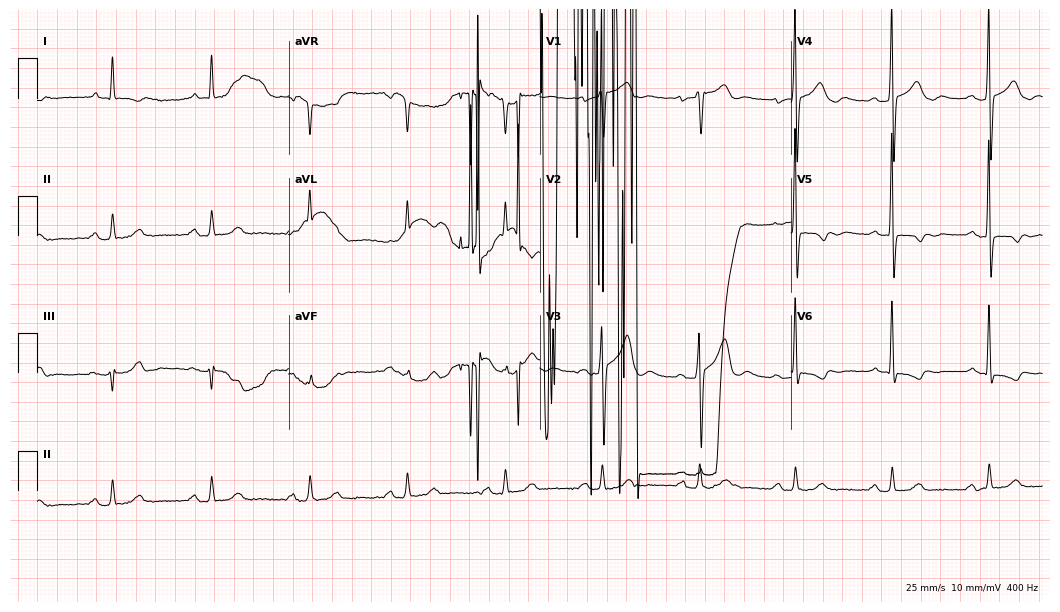
Standard 12-lead ECG recorded from a 79-year-old man. None of these six findings is recorded: first-degree AV block, right bundle branch block, left bundle branch block, sinus bradycardia, atrial fibrillation, sinus tachycardia. Only these six findings were labelled.